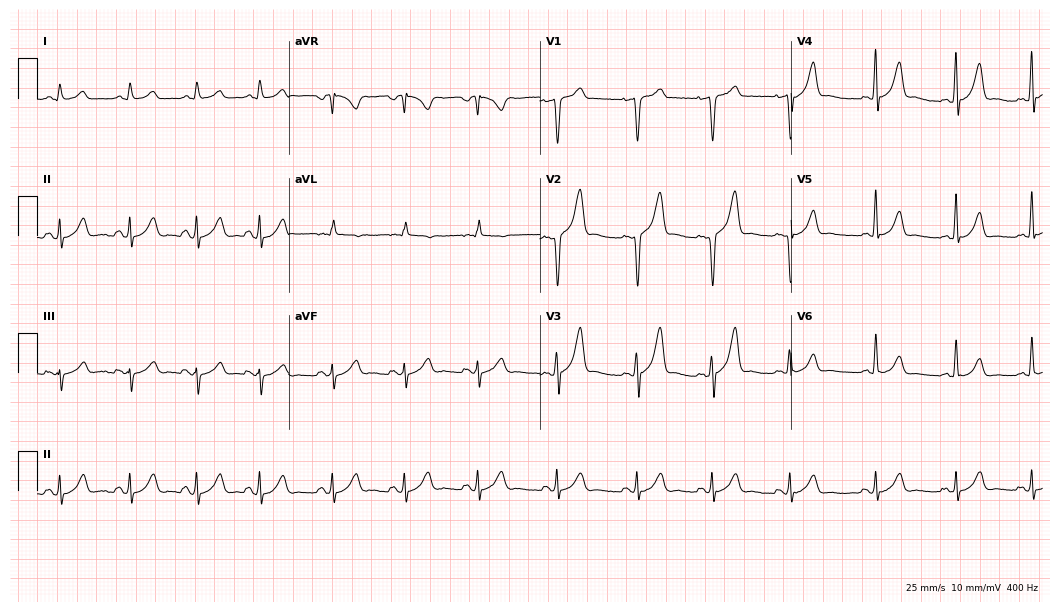
Standard 12-lead ECG recorded from a 21-year-old male. Read as a normal ECG.